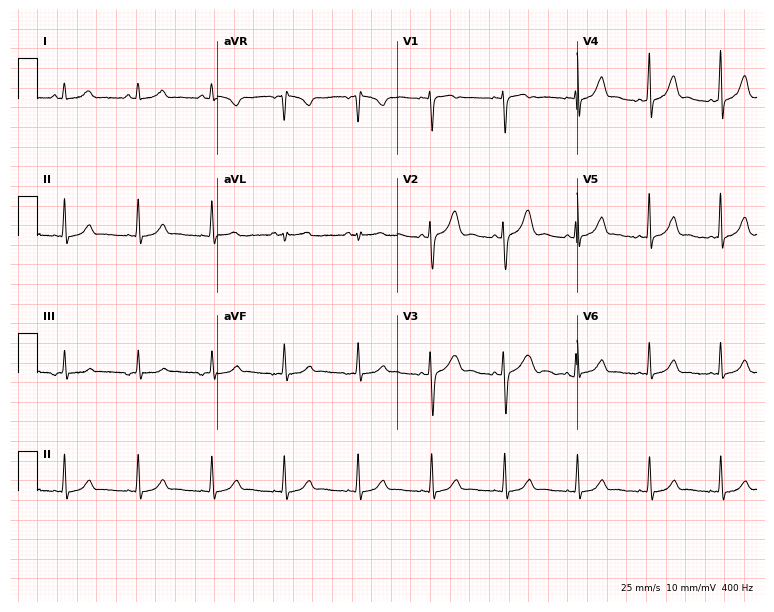
Standard 12-lead ECG recorded from a 22-year-old woman (7.3-second recording at 400 Hz). Read as a normal ECG.